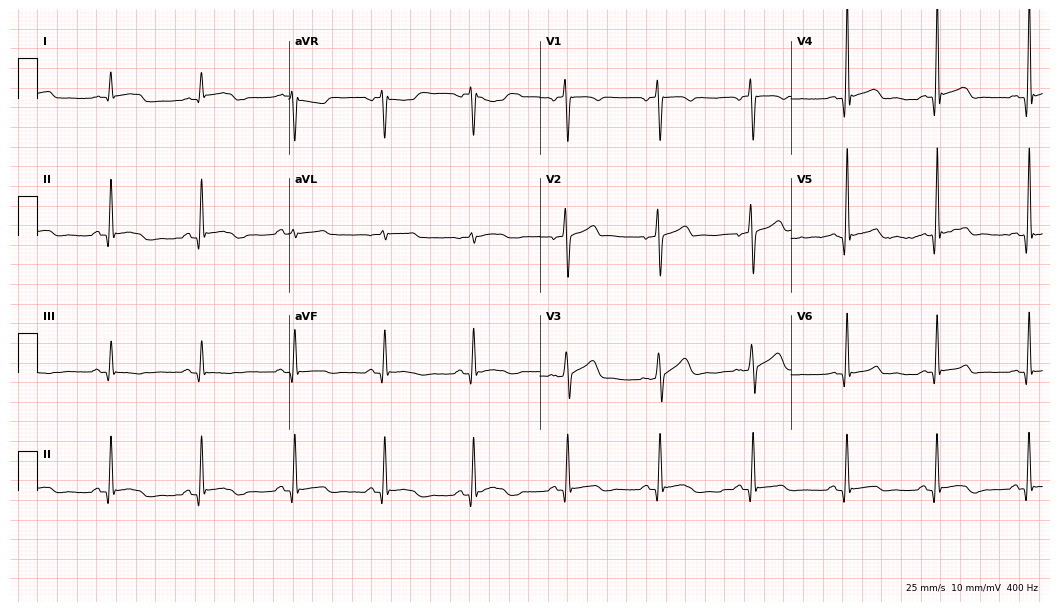
12-lead ECG from a 33-year-old man. Screened for six findings — first-degree AV block, right bundle branch block, left bundle branch block, sinus bradycardia, atrial fibrillation, sinus tachycardia — none is recorded. Only these six findings were labelled.